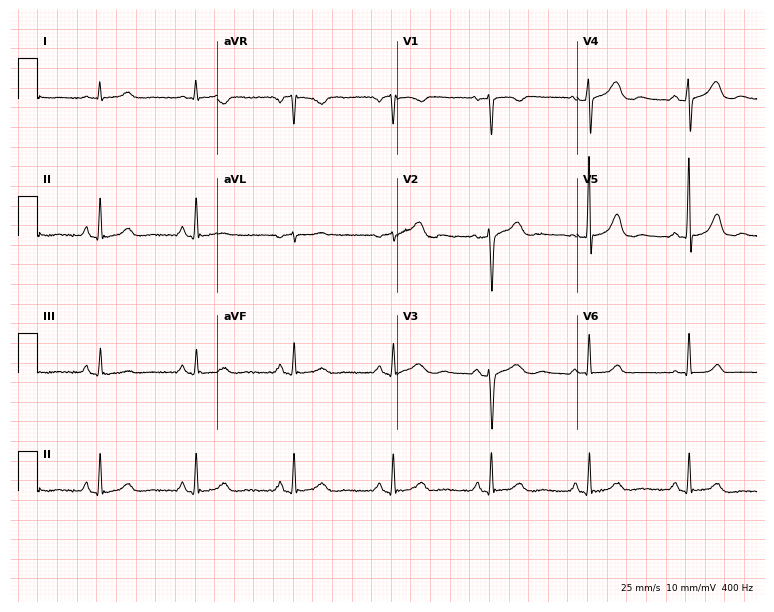
Standard 12-lead ECG recorded from a female patient, 57 years old. Read as a normal ECG.